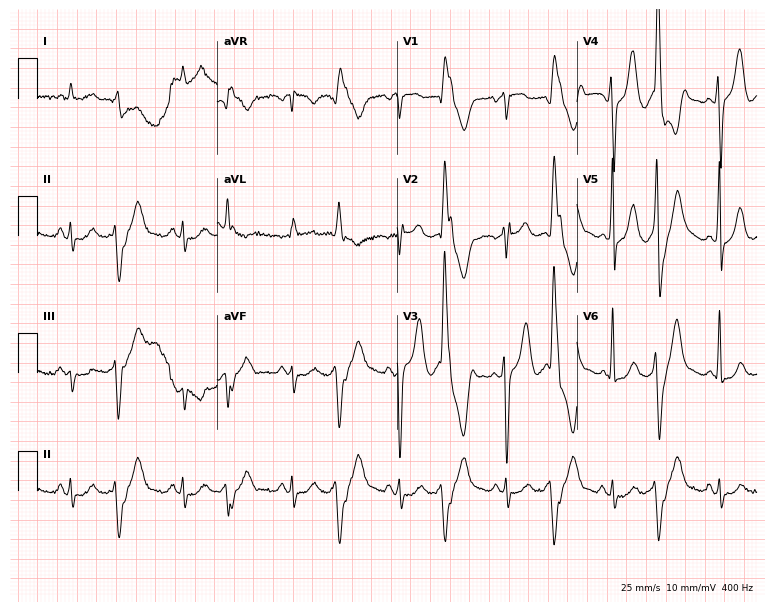
Resting 12-lead electrocardiogram (7.3-second recording at 400 Hz). Patient: a 73-year-old male. None of these six findings is recorded: first-degree AV block, right bundle branch block, left bundle branch block, sinus bradycardia, atrial fibrillation, sinus tachycardia.